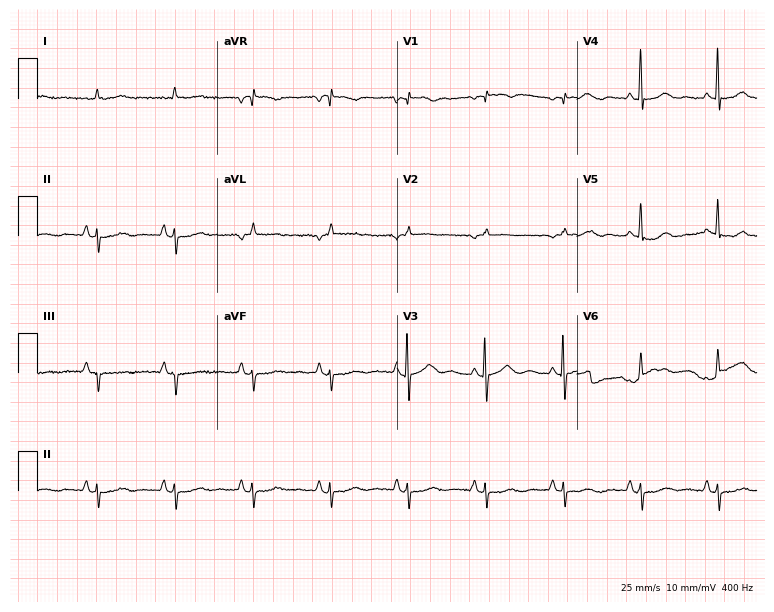
Standard 12-lead ECG recorded from a female, 85 years old (7.3-second recording at 400 Hz). None of these six findings is recorded: first-degree AV block, right bundle branch block, left bundle branch block, sinus bradycardia, atrial fibrillation, sinus tachycardia. Other findings, if any, are not listed.